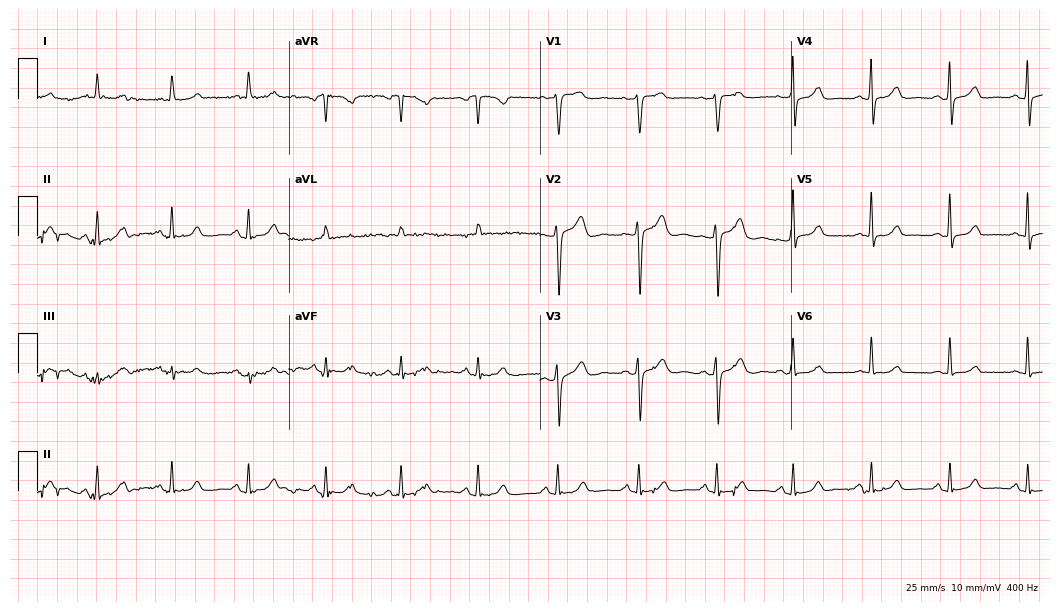
Resting 12-lead electrocardiogram. Patient: a female, 52 years old. None of these six findings is recorded: first-degree AV block, right bundle branch block, left bundle branch block, sinus bradycardia, atrial fibrillation, sinus tachycardia.